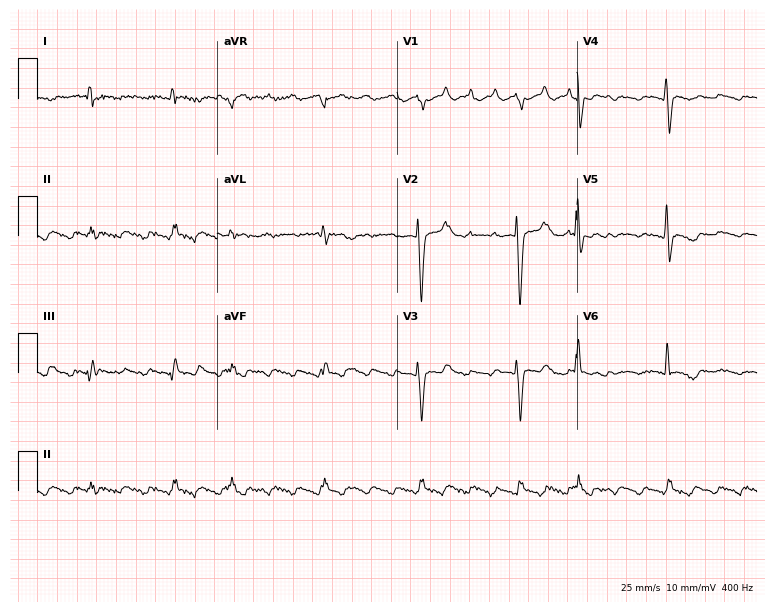
12-lead ECG from an 81-year-old male patient (7.3-second recording at 400 Hz). Shows atrial fibrillation.